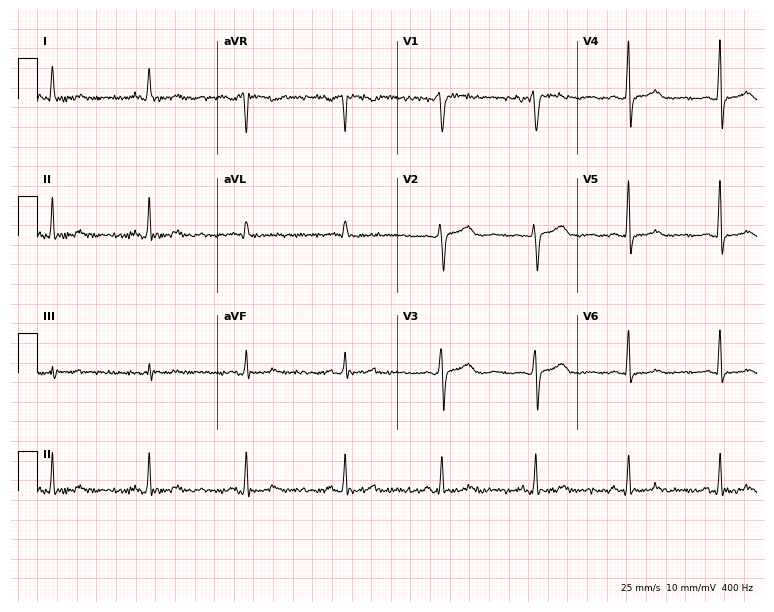
Standard 12-lead ECG recorded from a 55-year-old woman. None of these six findings is recorded: first-degree AV block, right bundle branch block, left bundle branch block, sinus bradycardia, atrial fibrillation, sinus tachycardia.